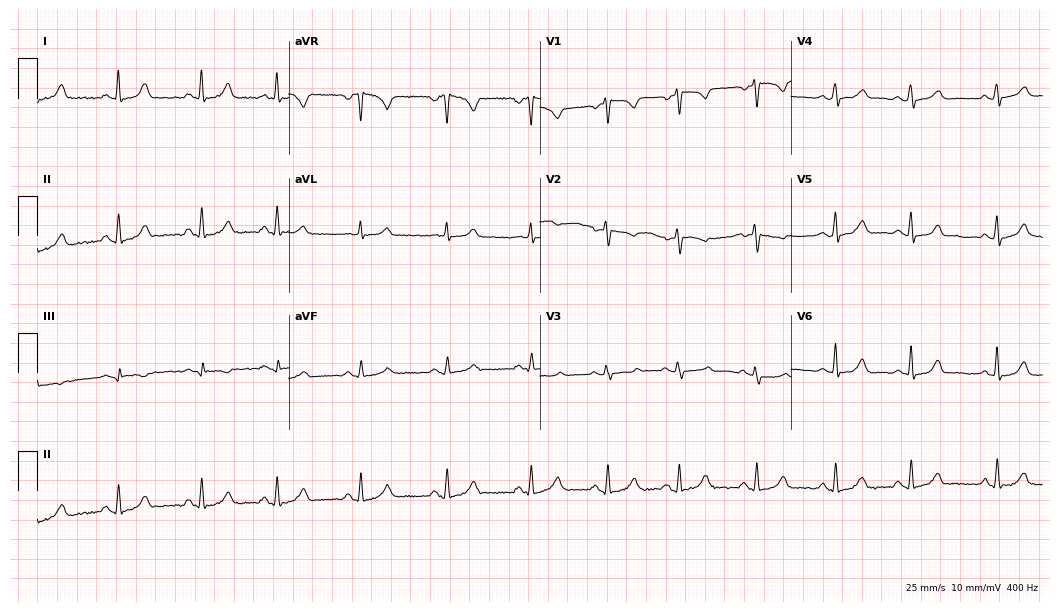
ECG (10.2-second recording at 400 Hz) — a female, 30 years old. Labelled as a normal ECG.